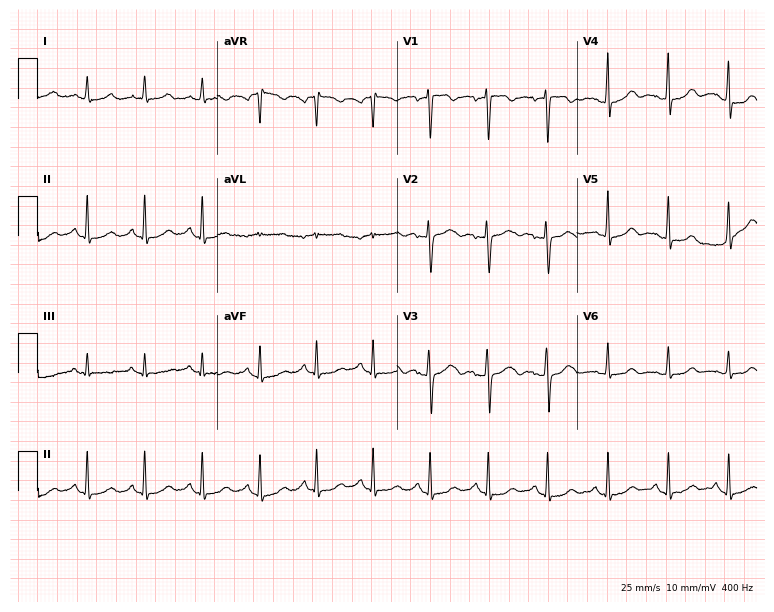
12-lead ECG from a 41-year-old female patient. Findings include sinus tachycardia (a sinus rate of 100 beats per minute or more).